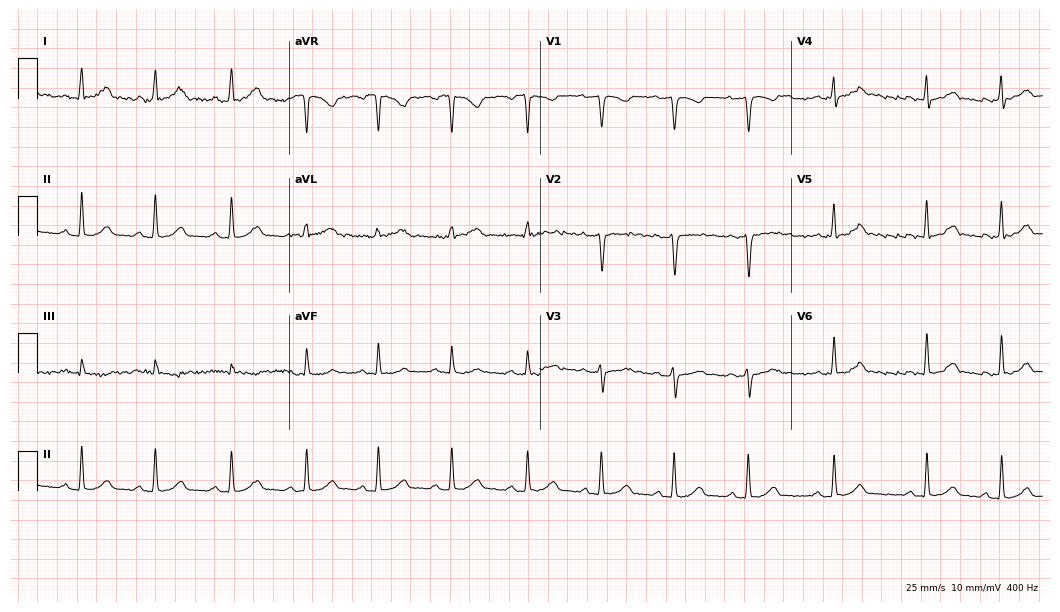
Electrocardiogram, a 27-year-old female. Overall reading on record: normal ECG.